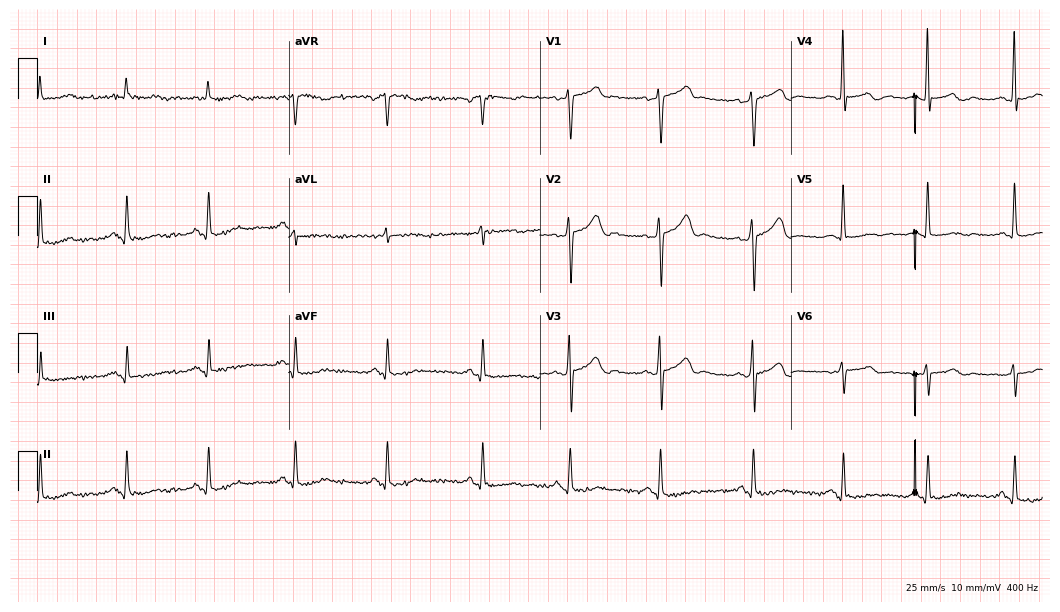
12-lead ECG from a male patient, 55 years old. Recorded interpretation: within normal limits.